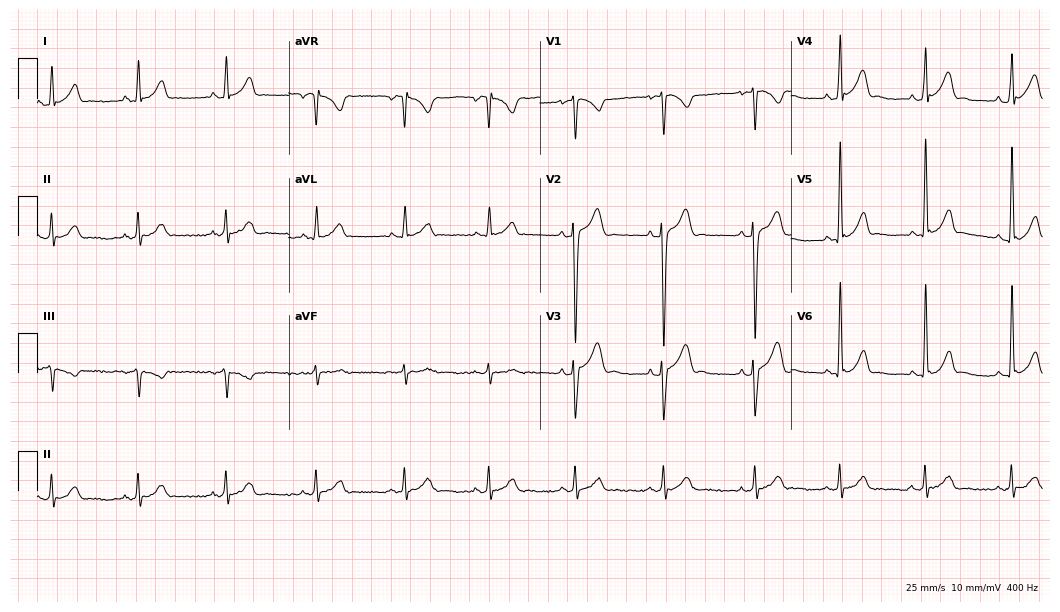
12-lead ECG (10.2-second recording at 400 Hz) from a 25-year-old male patient. Labelled as a normal ECG.